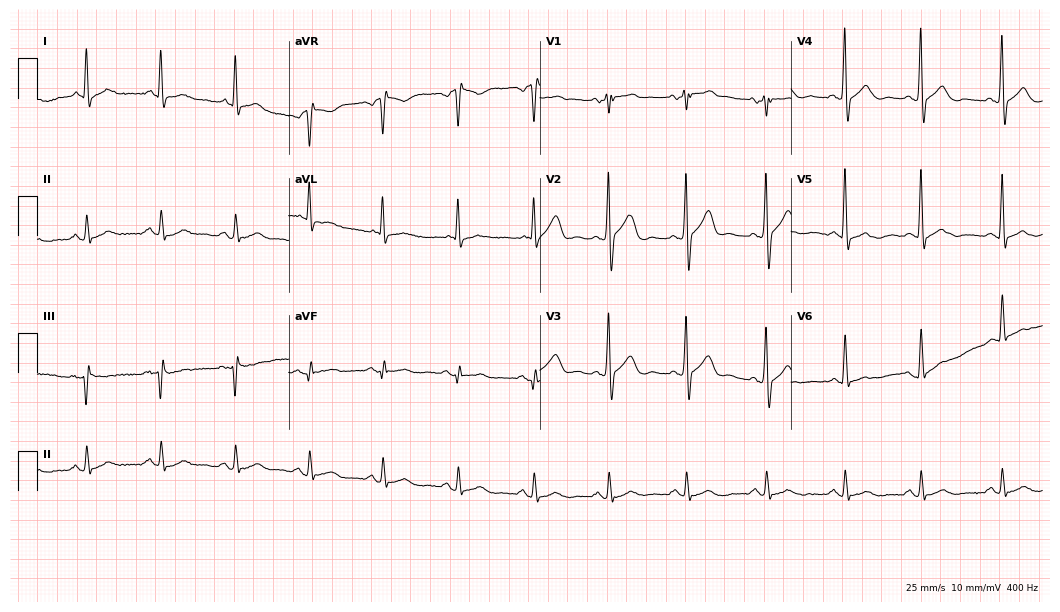
Standard 12-lead ECG recorded from a 47-year-old male patient. None of these six findings is recorded: first-degree AV block, right bundle branch block, left bundle branch block, sinus bradycardia, atrial fibrillation, sinus tachycardia.